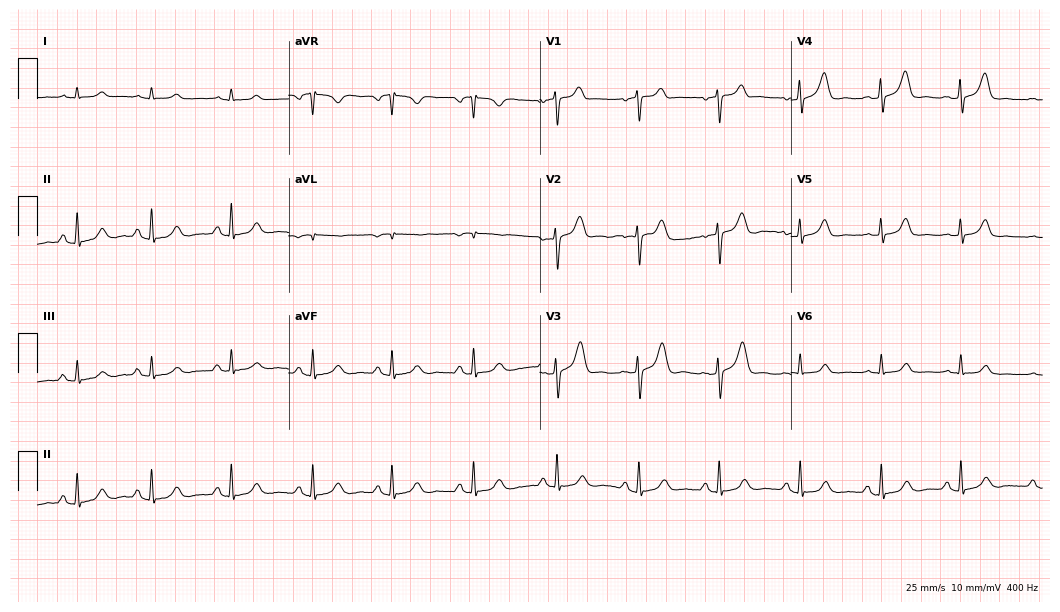
Resting 12-lead electrocardiogram. Patient: a male, 45 years old. Read as a normal ECG.